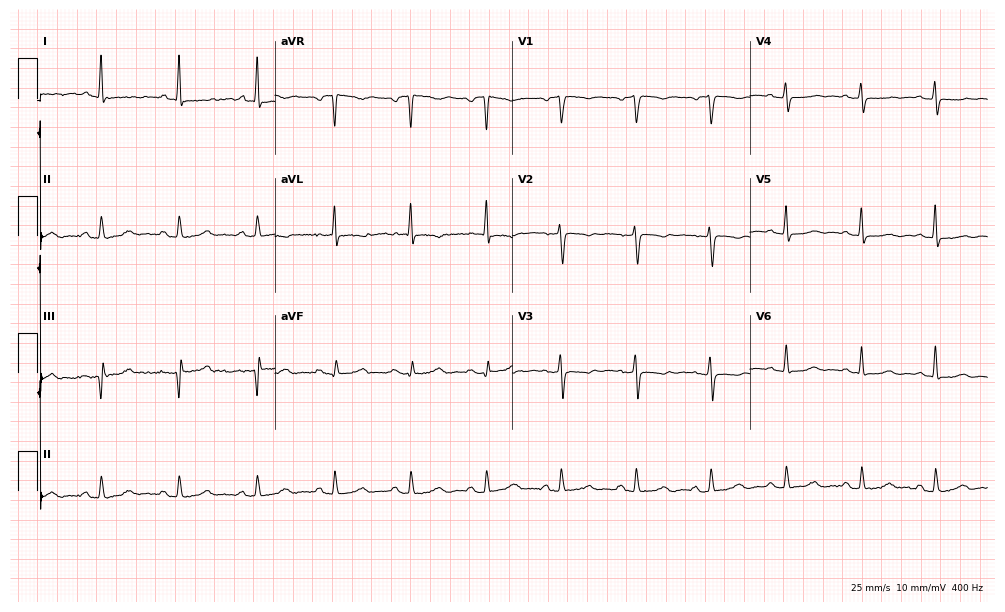
12-lead ECG (9.7-second recording at 400 Hz) from a 73-year-old female patient. Screened for six findings — first-degree AV block, right bundle branch block, left bundle branch block, sinus bradycardia, atrial fibrillation, sinus tachycardia — none is recorded.